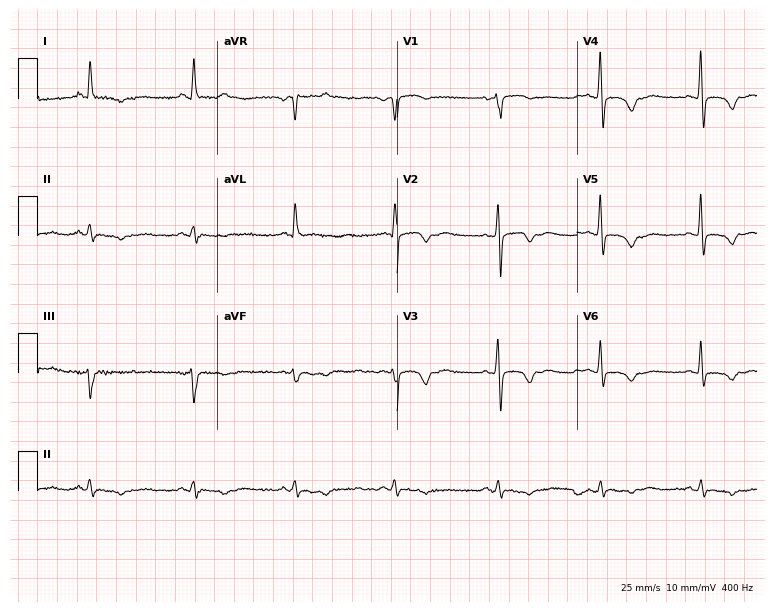
Resting 12-lead electrocardiogram. Patient: a 64-year-old woman. None of these six findings is recorded: first-degree AV block, right bundle branch block, left bundle branch block, sinus bradycardia, atrial fibrillation, sinus tachycardia.